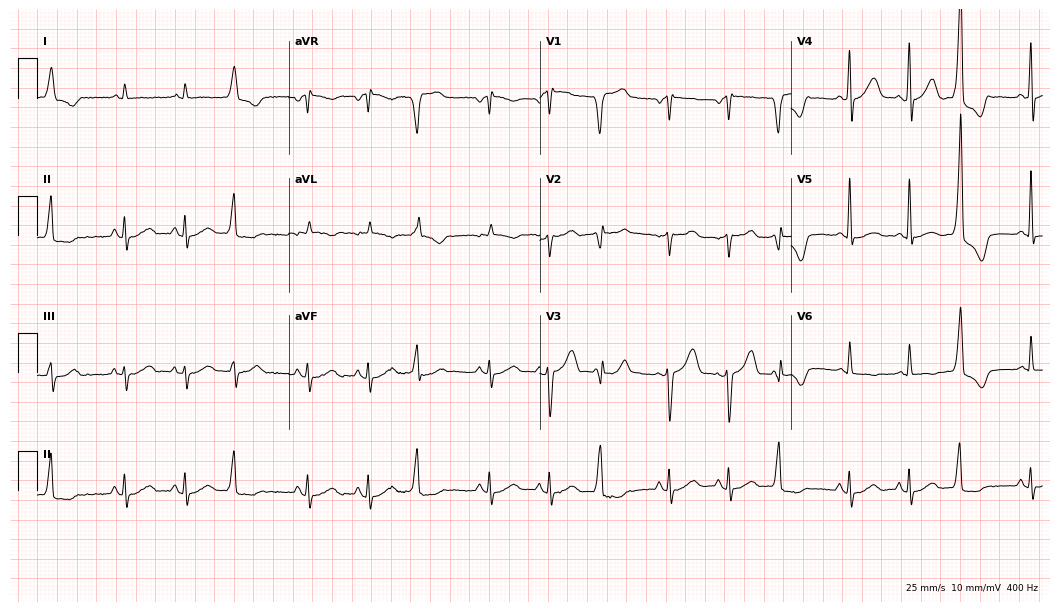
Standard 12-lead ECG recorded from a male patient, 70 years old. None of these six findings is recorded: first-degree AV block, right bundle branch block, left bundle branch block, sinus bradycardia, atrial fibrillation, sinus tachycardia. Other findings, if any, are not listed.